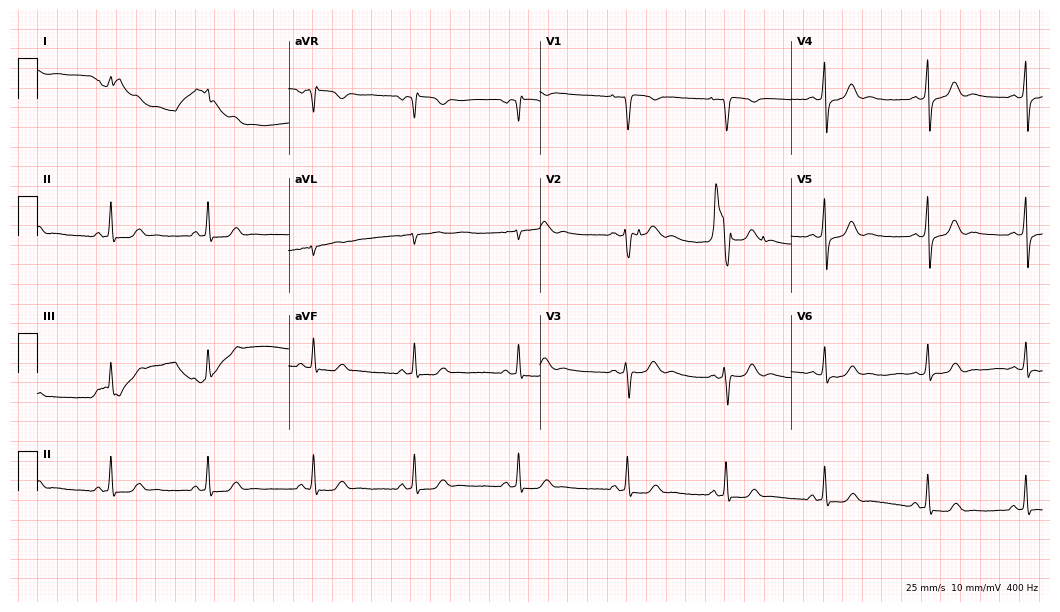
Standard 12-lead ECG recorded from a 20-year-old female patient. None of these six findings is recorded: first-degree AV block, right bundle branch block (RBBB), left bundle branch block (LBBB), sinus bradycardia, atrial fibrillation (AF), sinus tachycardia.